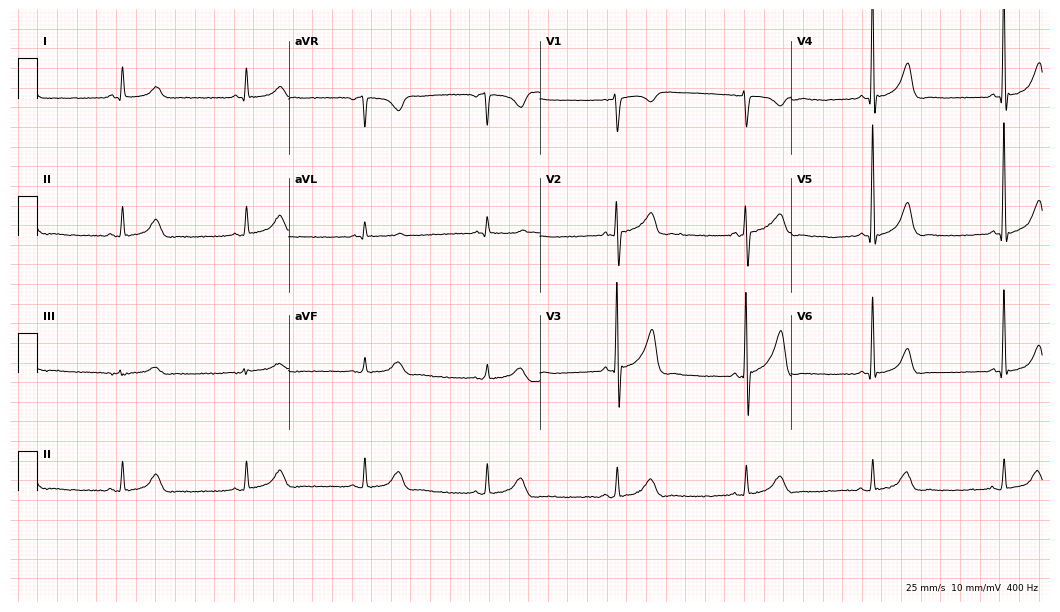
12-lead ECG from a man, 68 years old (10.2-second recording at 400 Hz). Shows sinus bradycardia (a sinus rate of 50 beats per minute or less).